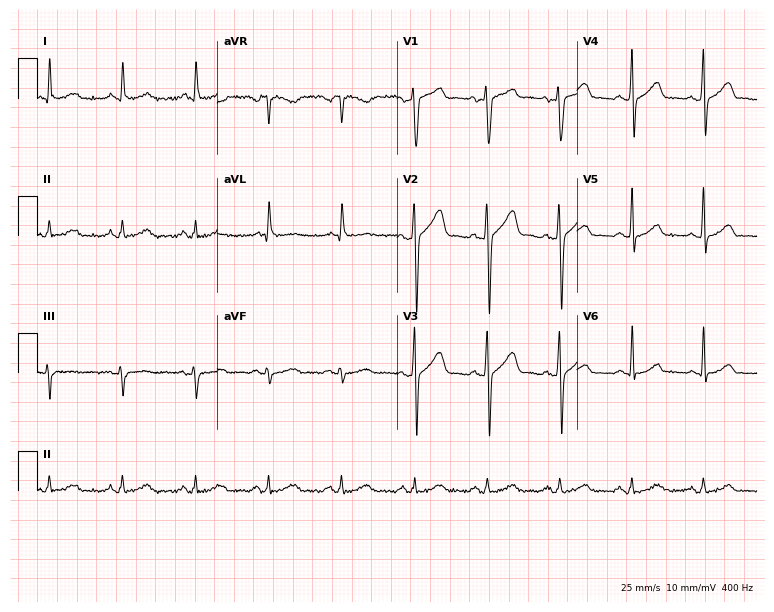
12-lead ECG from a man, 48 years old. No first-degree AV block, right bundle branch block, left bundle branch block, sinus bradycardia, atrial fibrillation or sinus tachycardia recorded for this tracing. Findings outside these six are not listed.